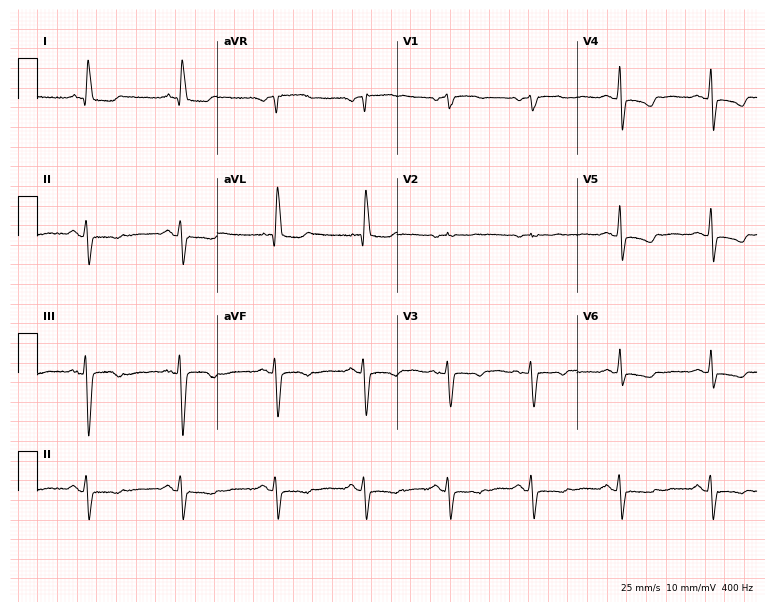
Resting 12-lead electrocardiogram. Patient: a female, 57 years old. None of these six findings is recorded: first-degree AV block, right bundle branch block, left bundle branch block, sinus bradycardia, atrial fibrillation, sinus tachycardia.